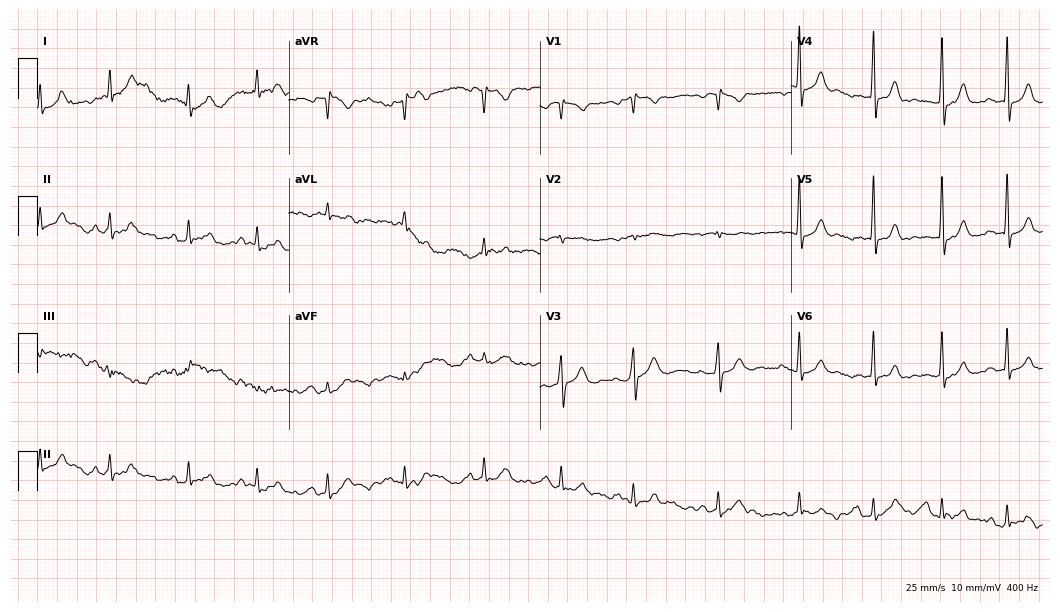
ECG (10.2-second recording at 400 Hz) — a male patient, 30 years old. Screened for six findings — first-degree AV block, right bundle branch block, left bundle branch block, sinus bradycardia, atrial fibrillation, sinus tachycardia — none is recorded.